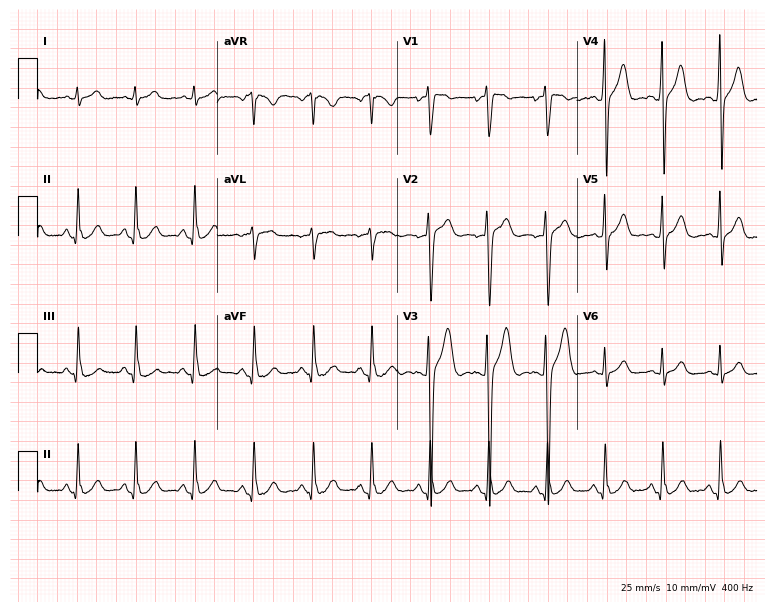
12-lead ECG from a 23-year-old man. Screened for six findings — first-degree AV block, right bundle branch block, left bundle branch block, sinus bradycardia, atrial fibrillation, sinus tachycardia — none is recorded.